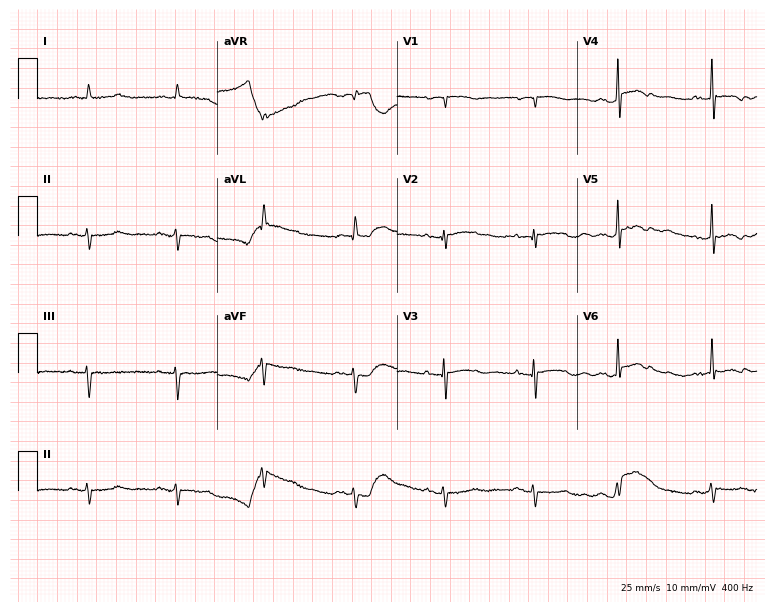
12-lead ECG from a 78-year-old female patient. Screened for six findings — first-degree AV block, right bundle branch block, left bundle branch block, sinus bradycardia, atrial fibrillation, sinus tachycardia — none is recorded. Only these six findings were labelled.